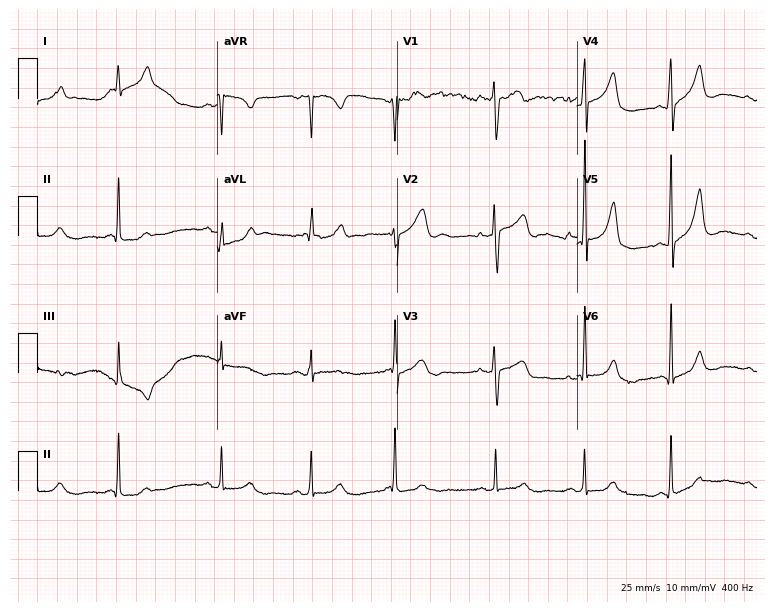
Standard 12-lead ECG recorded from a woman, 37 years old. Read as a normal ECG.